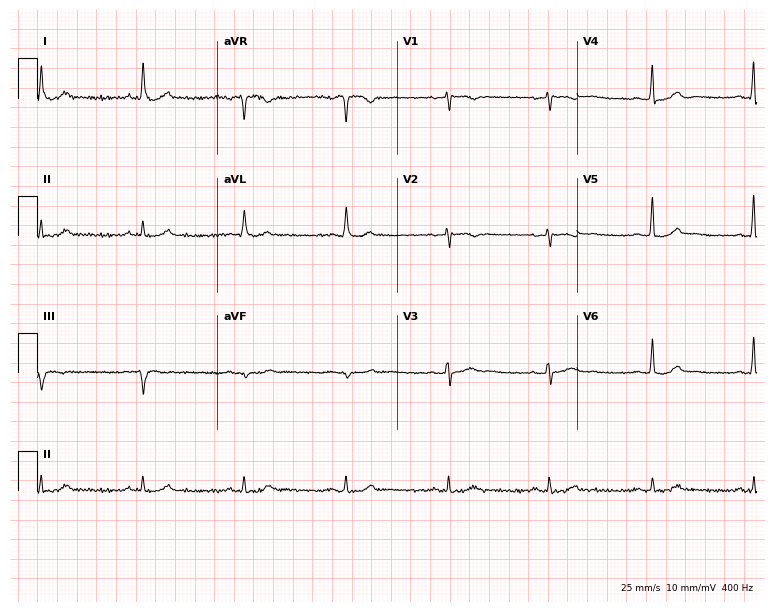
12-lead ECG from a 53-year-old woman. Labelled as a normal ECG.